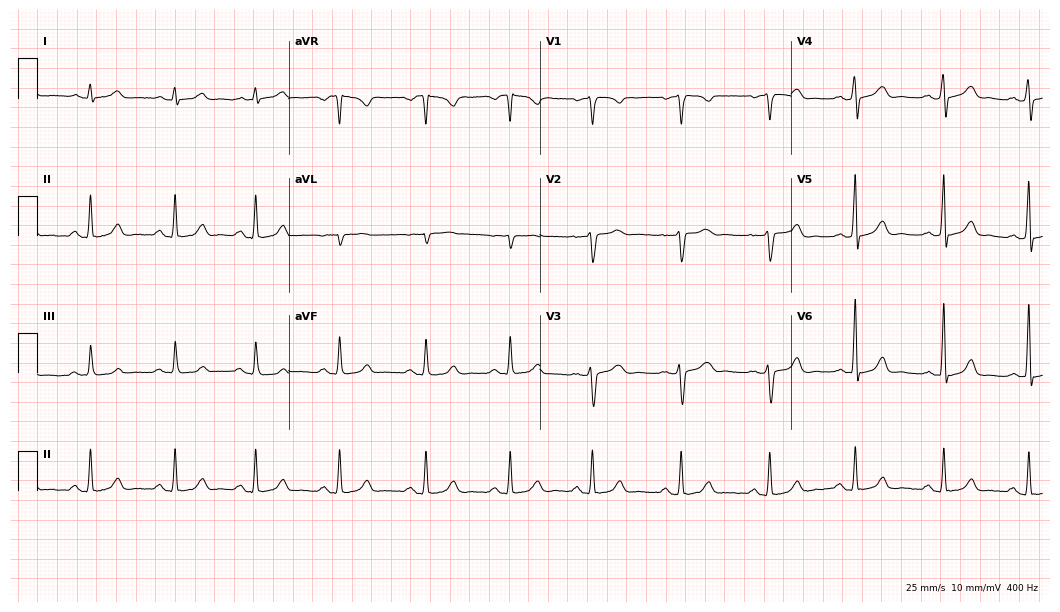
12-lead ECG from a 44-year-old woman (10.2-second recording at 400 Hz). Recorded interpretation: within normal limits.